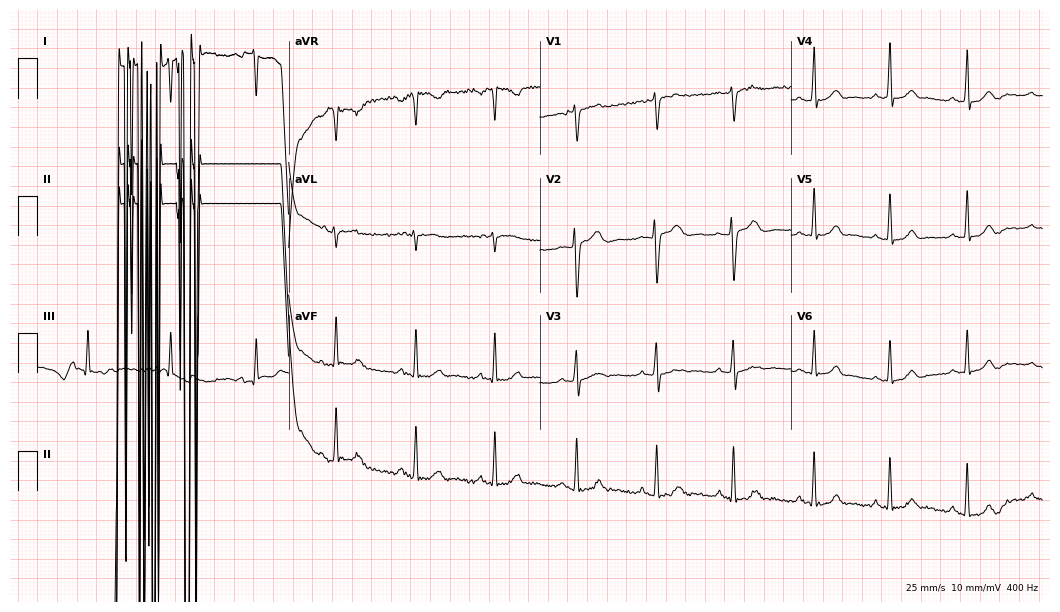
12-lead ECG from a female, 19 years old (10.2-second recording at 400 Hz). No first-degree AV block, right bundle branch block, left bundle branch block, sinus bradycardia, atrial fibrillation or sinus tachycardia recorded for this tracing.